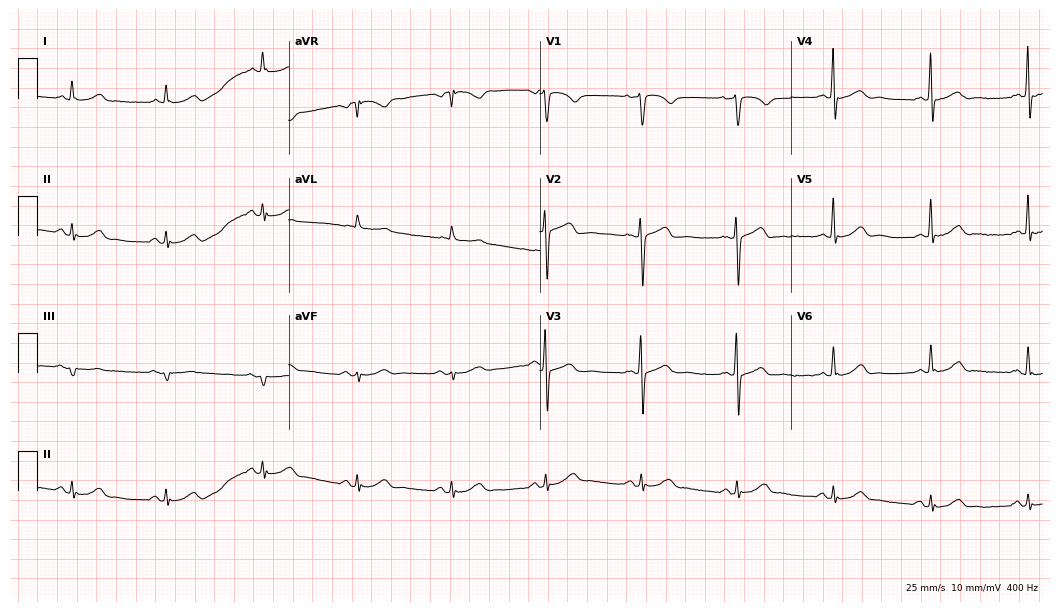
Electrocardiogram (10.2-second recording at 400 Hz), a 74-year-old male. Overall reading on record: normal ECG.